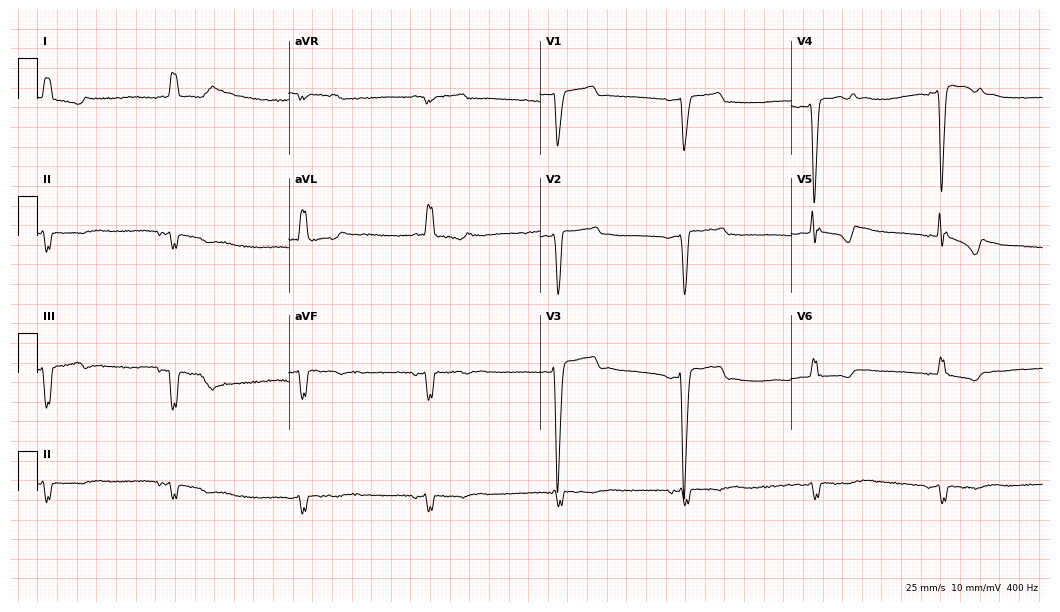
ECG — a female, 84 years old. Screened for six findings — first-degree AV block, right bundle branch block, left bundle branch block, sinus bradycardia, atrial fibrillation, sinus tachycardia — none is recorded. Other findings, if any, are not listed.